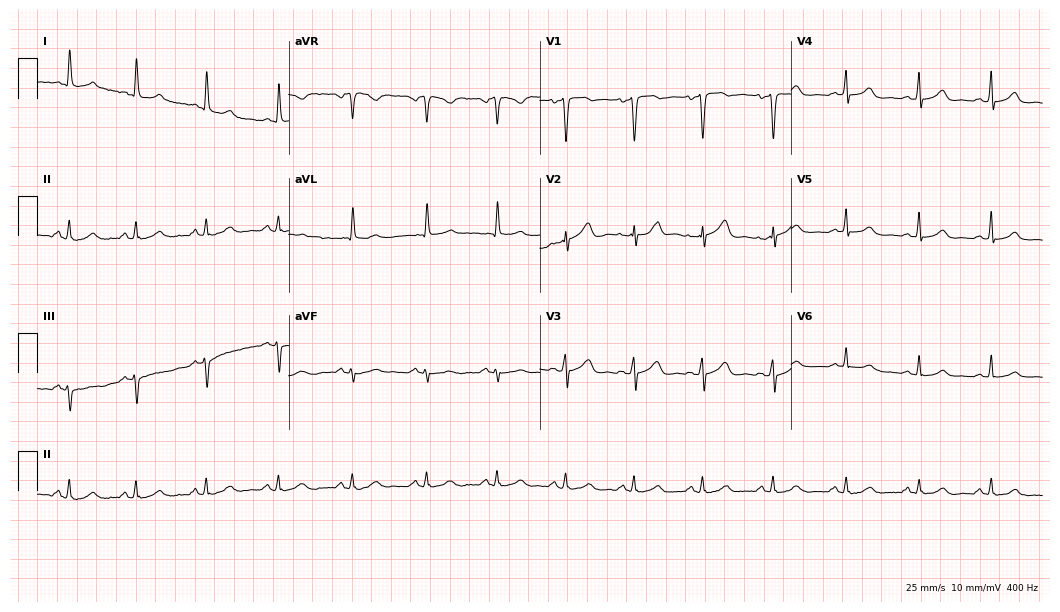
12-lead ECG from a woman, 53 years old (10.2-second recording at 400 Hz). Recorded interpretation: within normal limits.